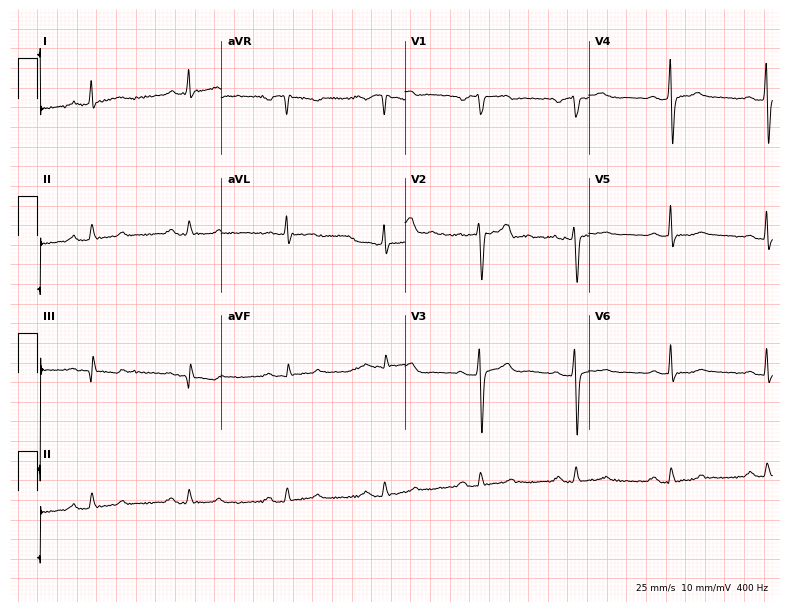
Standard 12-lead ECG recorded from a 58-year-old male patient (7.5-second recording at 400 Hz). None of these six findings is recorded: first-degree AV block, right bundle branch block (RBBB), left bundle branch block (LBBB), sinus bradycardia, atrial fibrillation (AF), sinus tachycardia. Other findings, if any, are not listed.